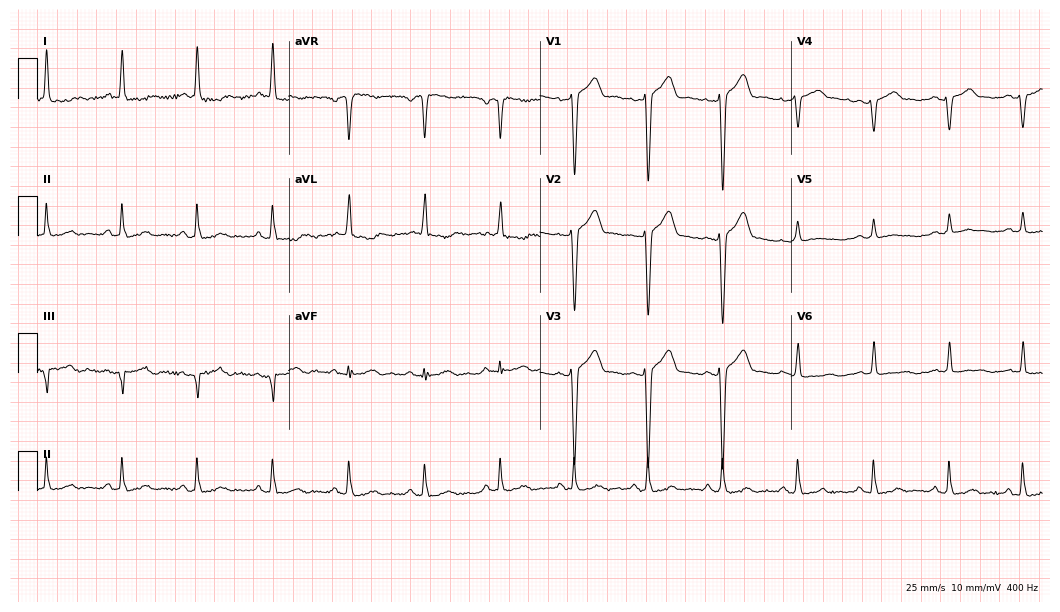
ECG — a man, 48 years old. Screened for six findings — first-degree AV block, right bundle branch block, left bundle branch block, sinus bradycardia, atrial fibrillation, sinus tachycardia — none is recorded. Findings outside these six are not listed.